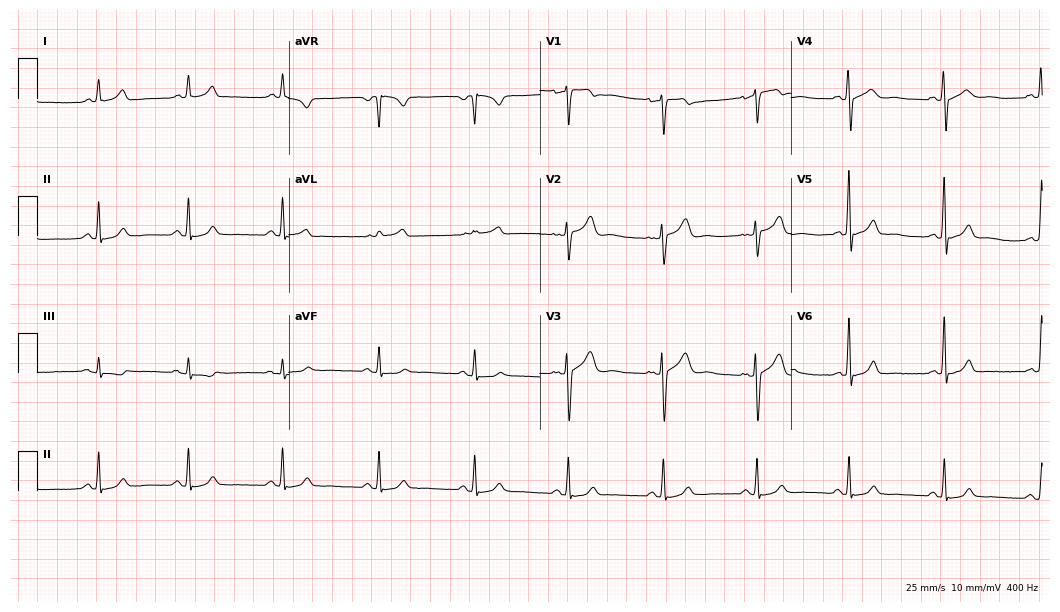
ECG (10.2-second recording at 400 Hz) — a female patient, 42 years old. Labelled as a normal ECG.